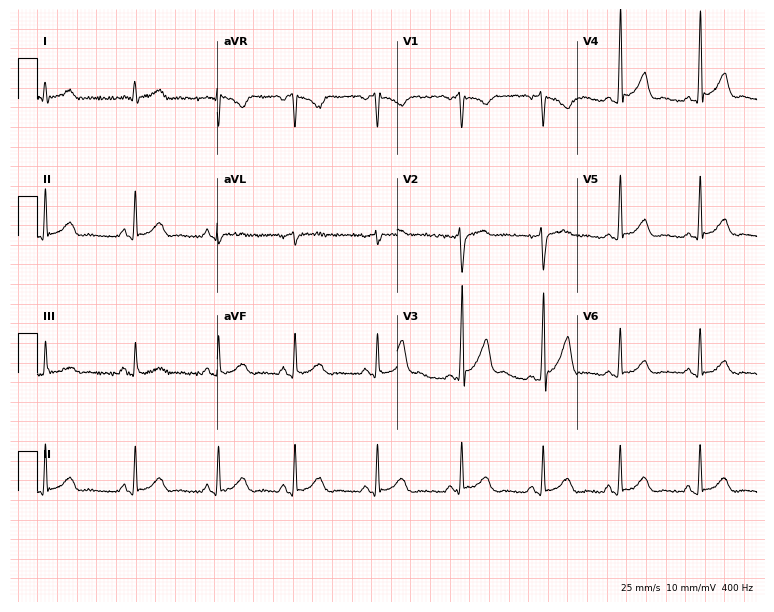
Resting 12-lead electrocardiogram. Patient: a 27-year-old man. Read as a normal ECG.